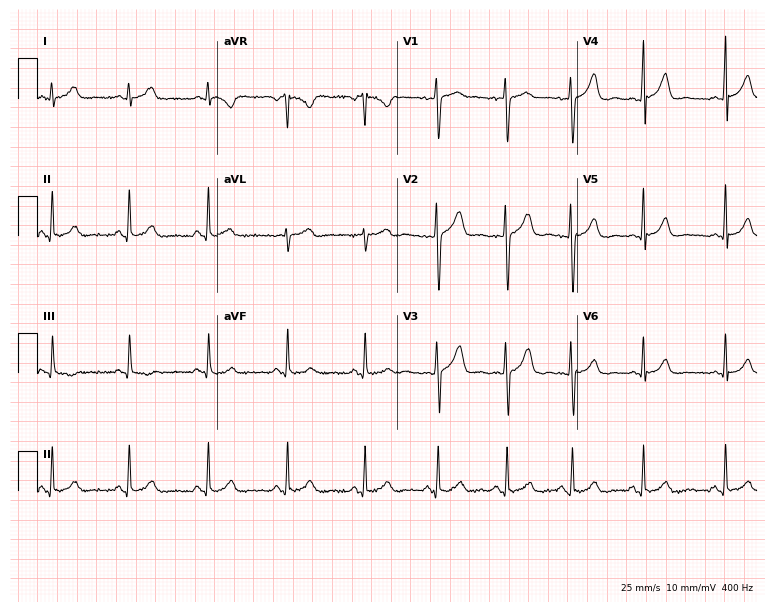
12-lead ECG from a 25-year-old female. Screened for six findings — first-degree AV block, right bundle branch block, left bundle branch block, sinus bradycardia, atrial fibrillation, sinus tachycardia — none is recorded.